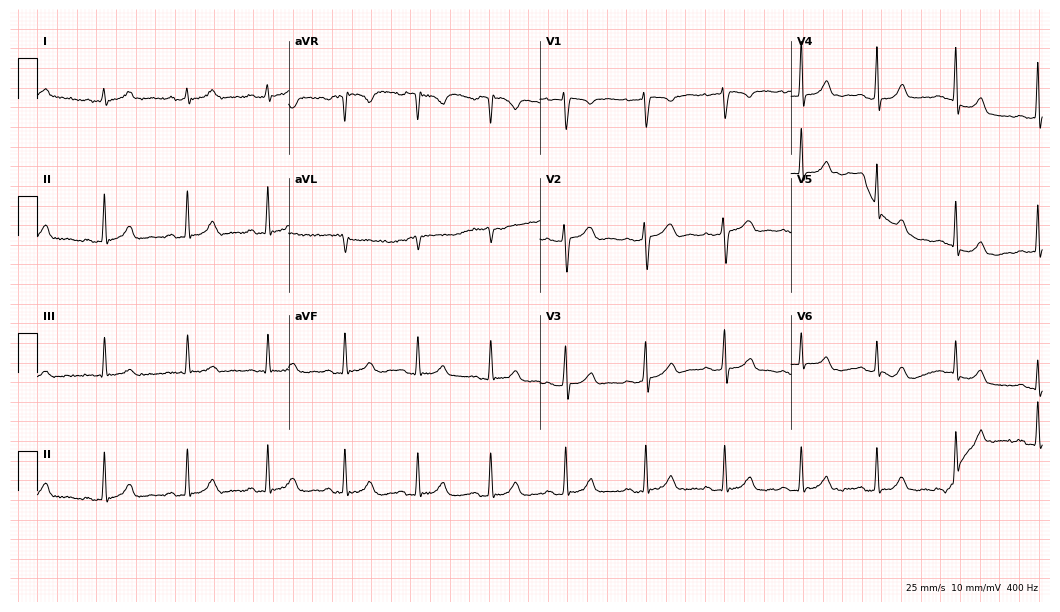
12-lead ECG from a 29-year-old woman. Recorded interpretation: within normal limits.